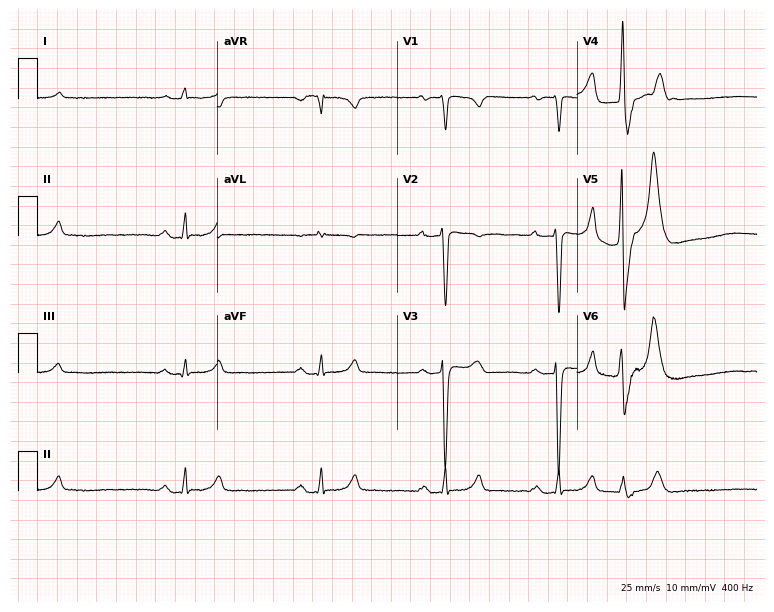
12-lead ECG (7.3-second recording at 400 Hz) from a male, 34 years old. Findings include sinus bradycardia (a sinus rate of 50 beats per minute or less).